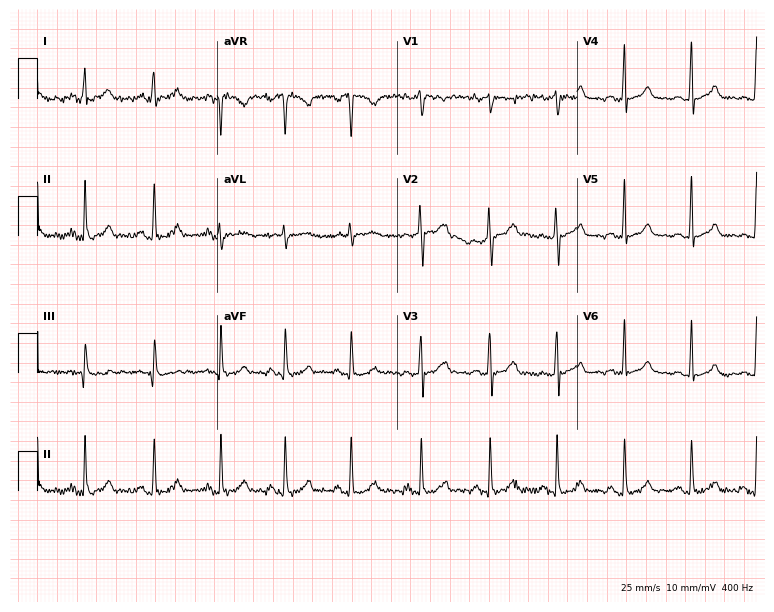
Electrocardiogram, a woman, 23 years old. Overall reading on record: normal ECG.